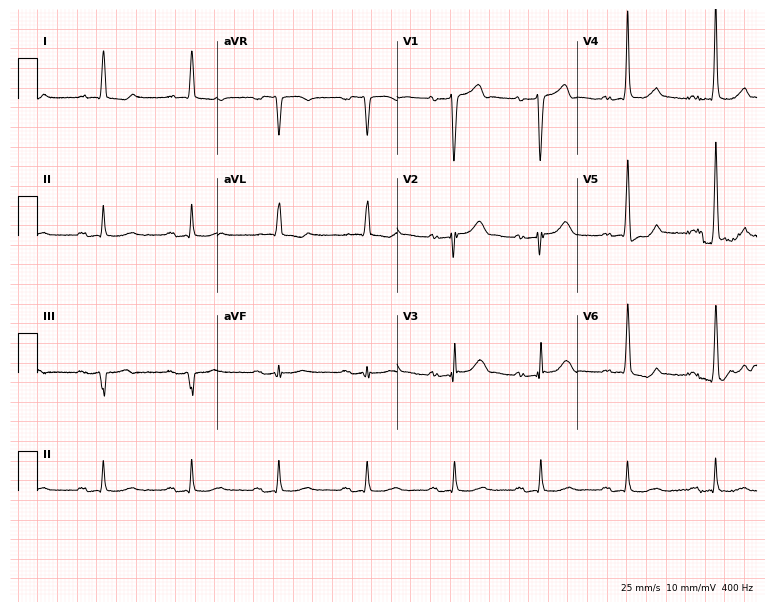
Standard 12-lead ECG recorded from a man, 79 years old (7.3-second recording at 400 Hz). None of these six findings is recorded: first-degree AV block, right bundle branch block, left bundle branch block, sinus bradycardia, atrial fibrillation, sinus tachycardia. Only these six findings were labelled.